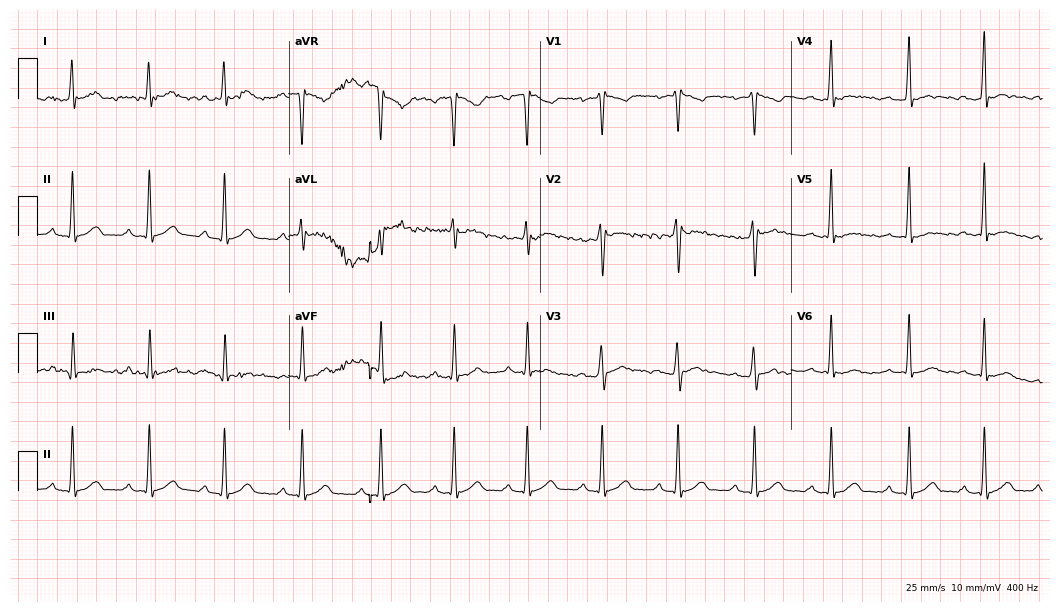
Electrocardiogram, a 23-year-old man. Overall reading on record: normal ECG.